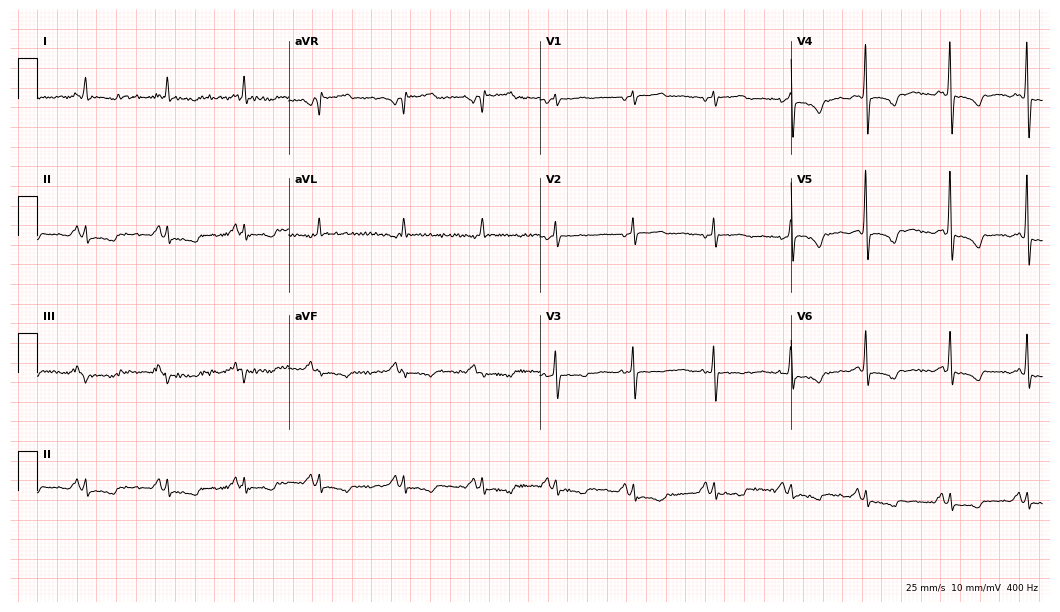
Standard 12-lead ECG recorded from a female patient, 76 years old. None of these six findings is recorded: first-degree AV block, right bundle branch block, left bundle branch block, sinus bradycardia, atrial fibrillation, sinus tachycardia.